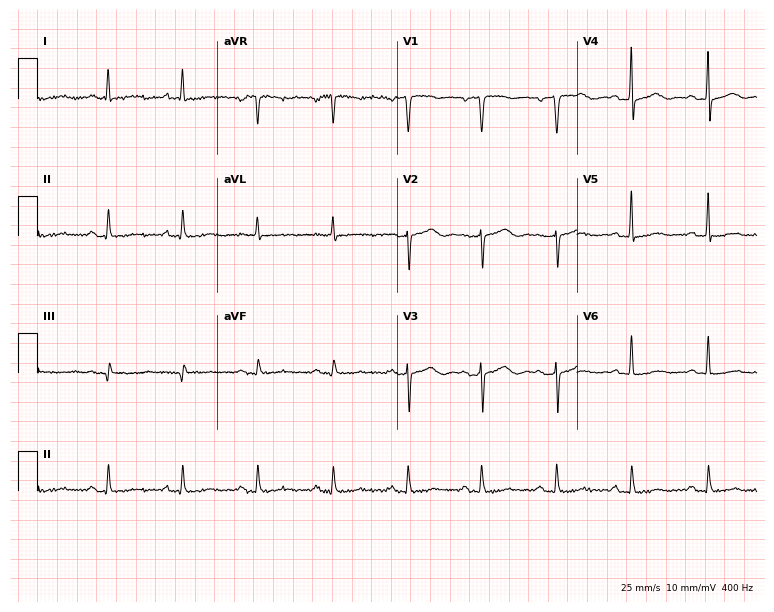
Resting 12-lead electrocardiogram (7.3-second recording at 400 Hz). Patient: a man, 69 years old. Read as a normal ECG.